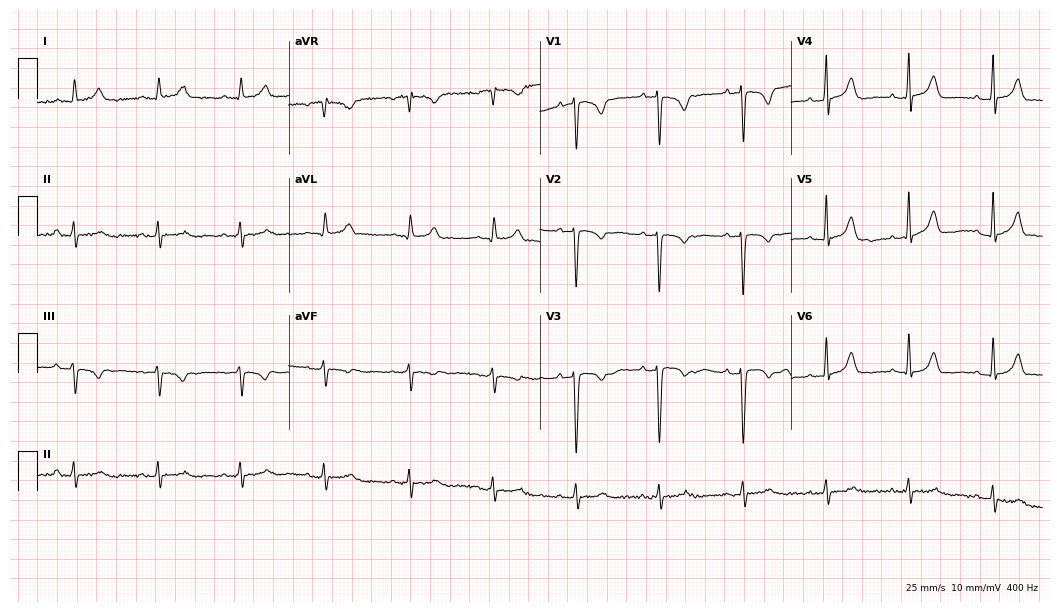
Electrocardiogram (10.2-second recording at 400 Hz), a female patient, 63 years old. Of the six screened findings (first-degree AV block, right bundle branch block, left bundle branch block, sinus bradycardia, atrial fibrillation, sinus tachycardia), none is recorded. Only these six findings were labelled.